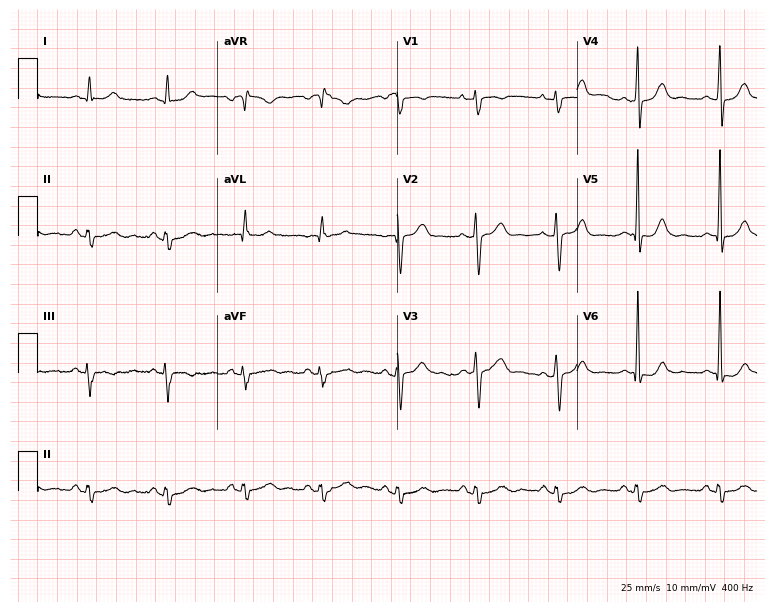
Standard 12-lead ECG recorded from a 61-year-old male patient (7.3-second recording at 400 Hz). None of these six findings is recorded: first-degree AV block, right bundle branch block, left bundle branch block, sinus bradycardia, atrial fibrillation, sinus tachycardia. Only these six findings were labelled.